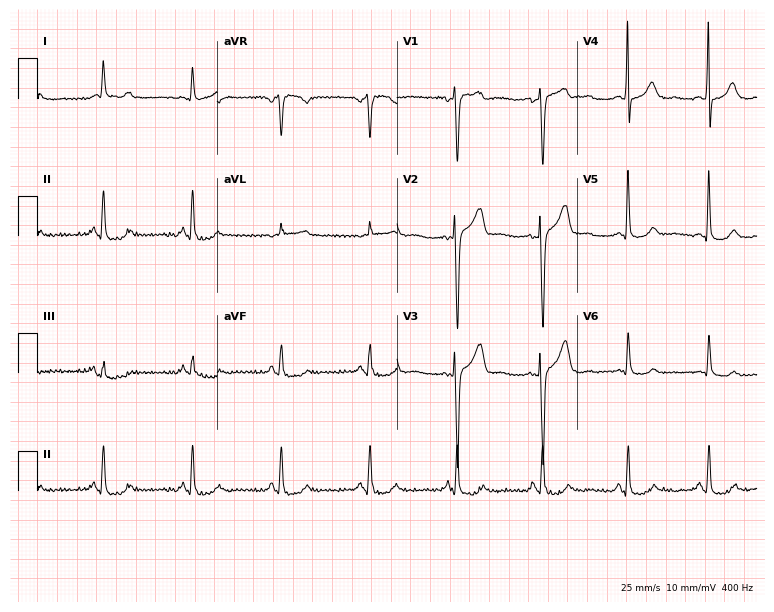
Standard 12-lead ECG recorded from a 30-year-old man. None of these six findings is recorded: first-degree AV block, right bundle branch block, left bundle branch block, sinus bradycardia, atrial fibrillation, sinus tachycardia.